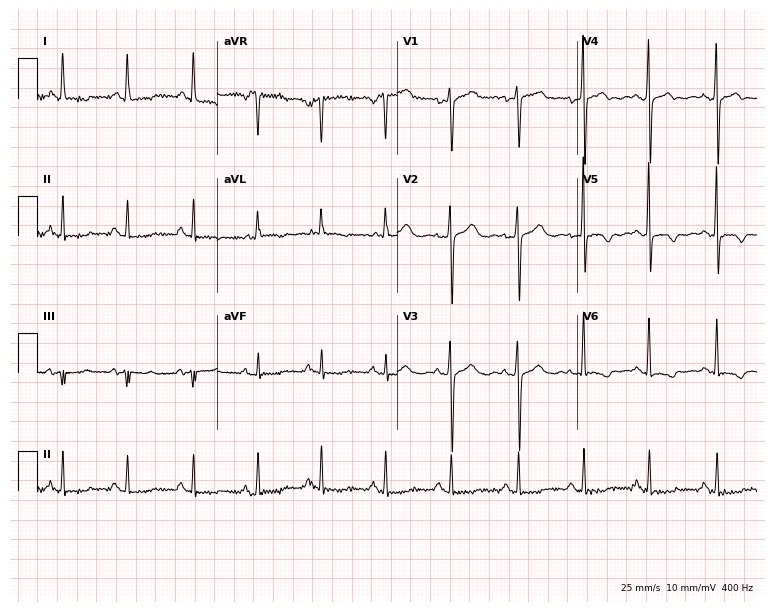
12-lead ECG from a 65-year-old female patient. Screened for six findings — first-degree AV block, right bundle branch block, left bundle branch block, sinus bradycardia, atrial fibrillation, sinus tachycardia — none is recorded. Findings outside these six are not listed.